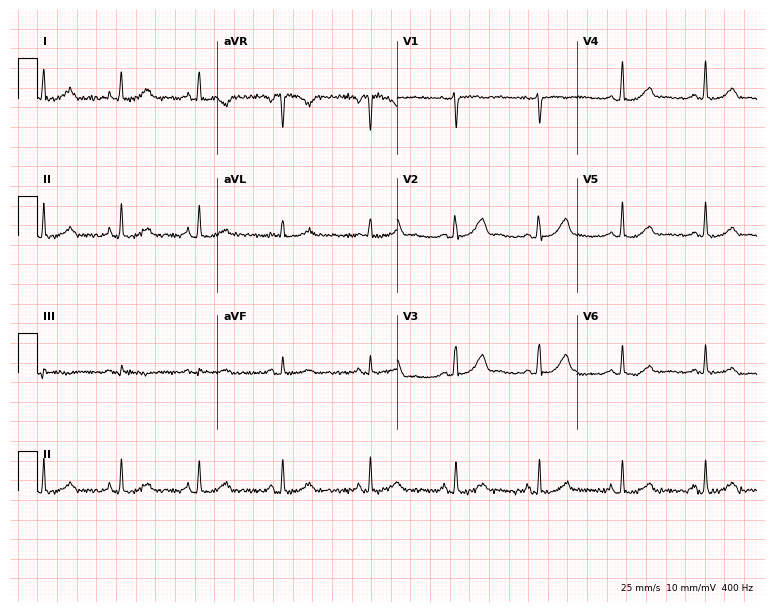
Electrocardiogram (7.3-second recording at 400 Hz), a female, 40 years old. Overall reading on record: normal ECG.